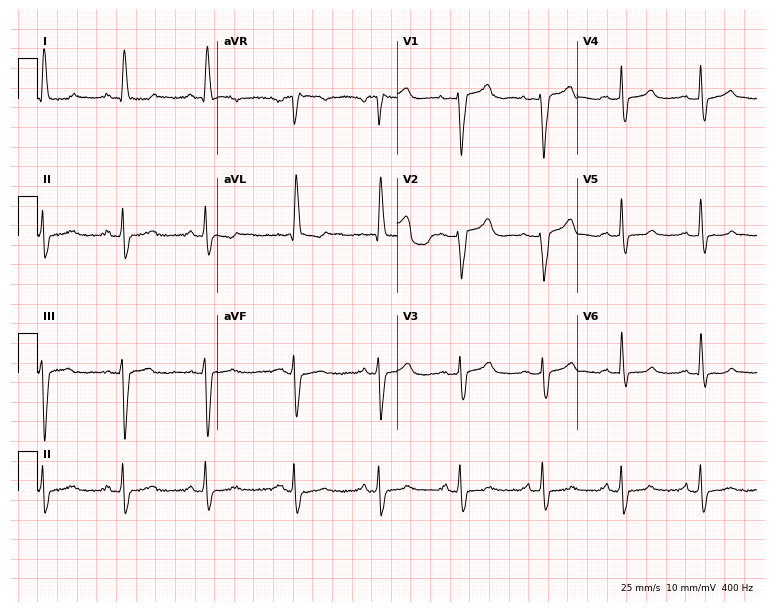
12-lead ECG (7.3-second recording at 400 Hz) from a female patient, 63 years old. Screened for six findings — first-degree AV block, right bundle branch block (RBBB), left bundle branch block (LBBB), sinus bradycardia, atrial fibrillation (AF), sinus tachycardia — none is recorded. Findings outside these six are not listed.